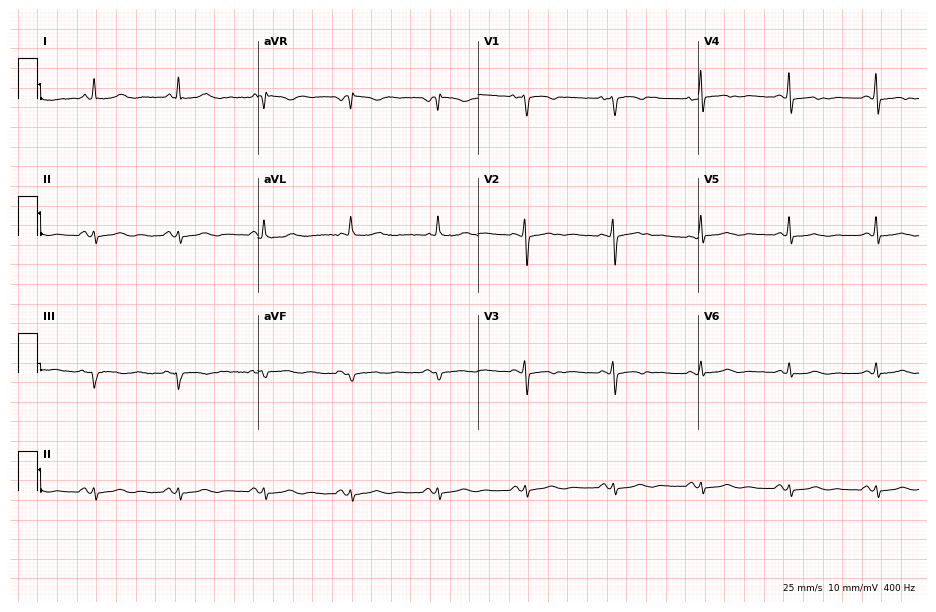
Electrocardiogram, a female patient, 61 years old. Of the six screened findings (first-degree AV block, right bundle branch block, left bundle branch block, sinus bradycardia, atrial fibrillation, sinus tachycardia), none is recorded. Only these six findings were labelled.